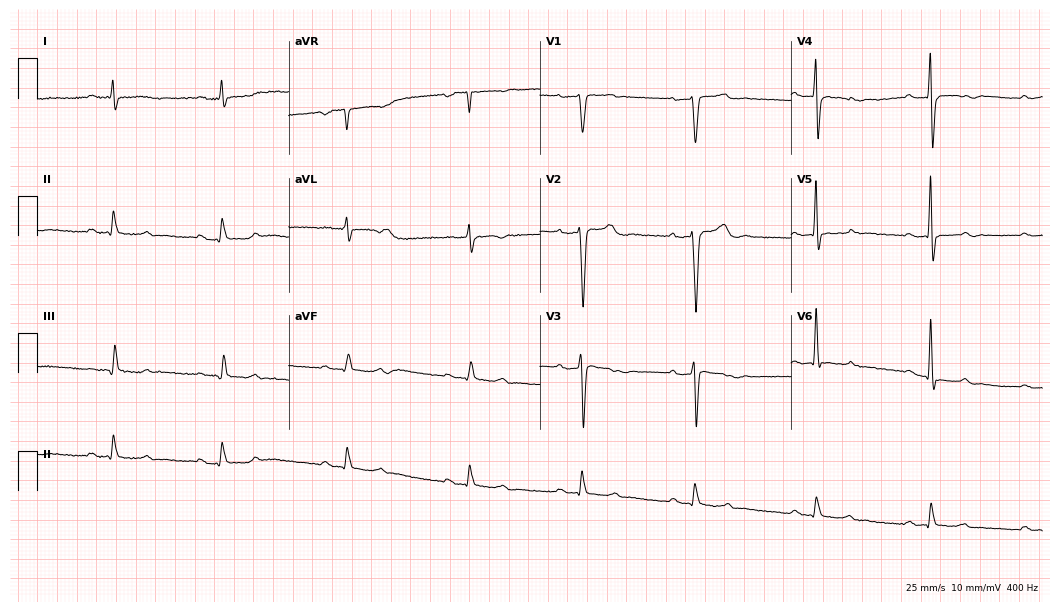
Resting 12-lead electrocardiogram. Patient: a 52-year-old man. None of these six findings is recorded: first-degree AV block, right bundle branch block (RBBB), left bundle branch block (LBBB), sinus bradycardia, atrial fibrillation (AF), sinus tachycardia. Findings outside these six are not listed.